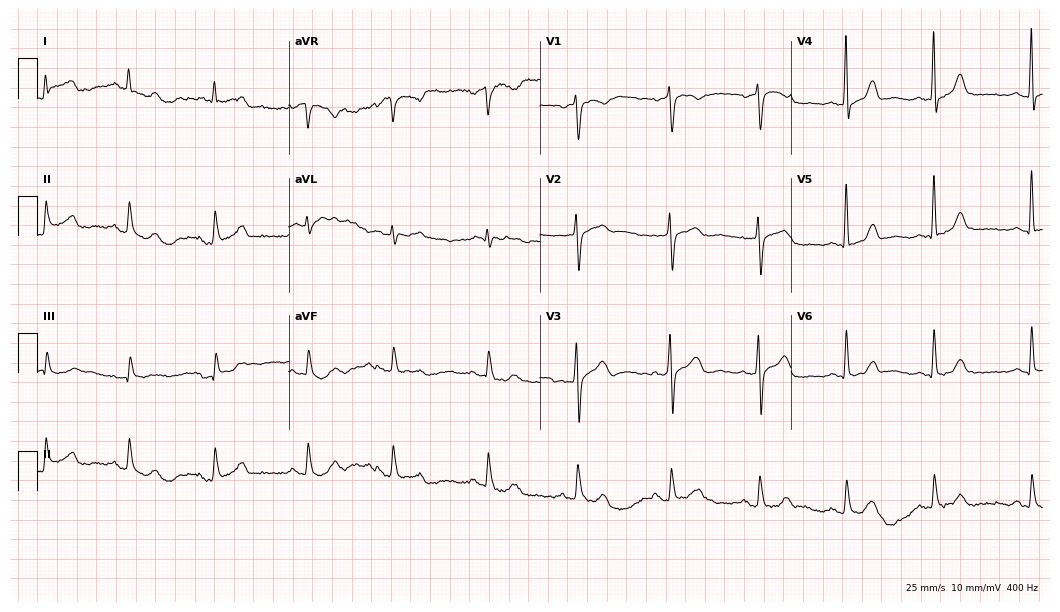
Resting 12-lead electrocardiogram (10.2-second recording at 400 Hz). Patient: a 72-year-old male. None of these six findings is recorded: first-degree AV block, right bundle branch block, left bundle branch block, sinus bradycardia, atrial fibrillation, sinus tachycardia.